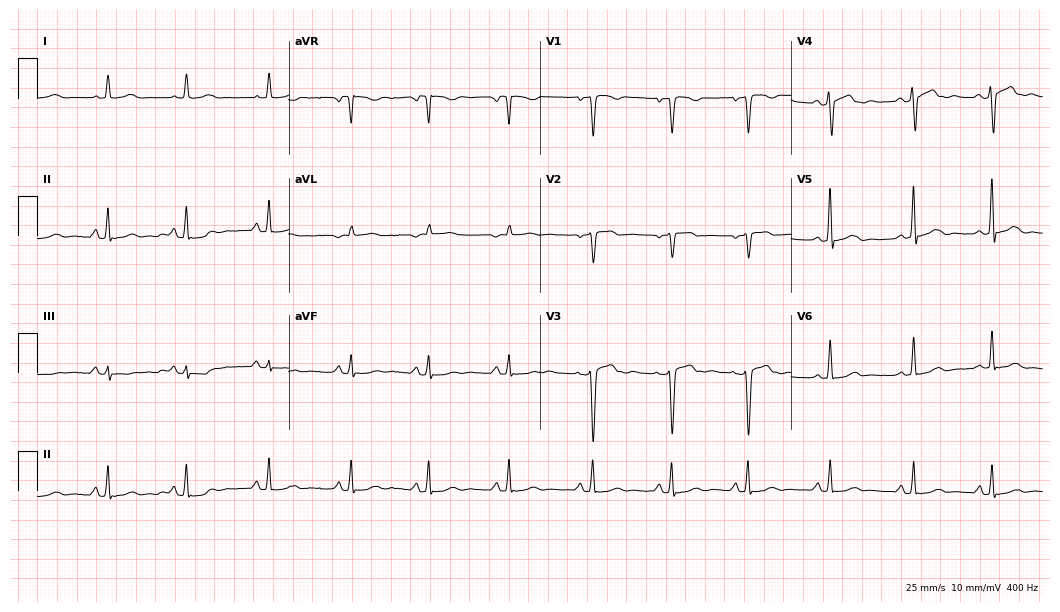
12-lead ECG from a 27-year-old woman. Screened for six findings — first-degree AV block, right bundle branch block, left bundle branch block, sinus bradycardia, atrial fibrillation, sinus tachycardia — none is recorded.